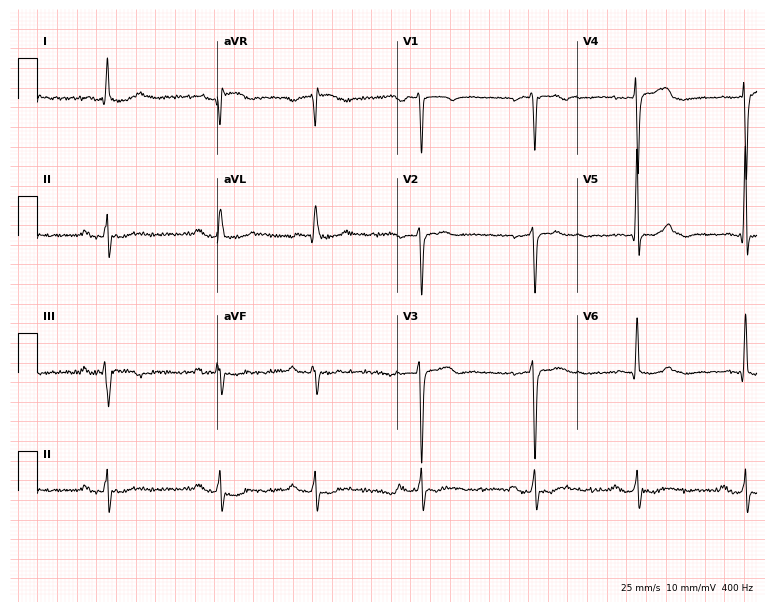
12-lead ECG (7.3-second recording at 400 Hz) from an 82-year-old male. Labelled as a normal ECG.